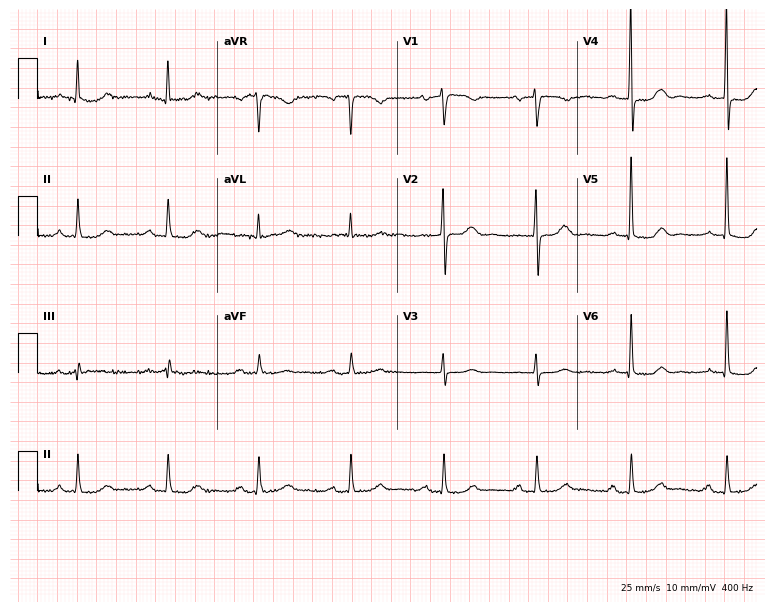
Standard 12-lead ECG recorded from a 78-year-old female patient (7.3-second recording at 400 Hz). Read as a normal ECG.